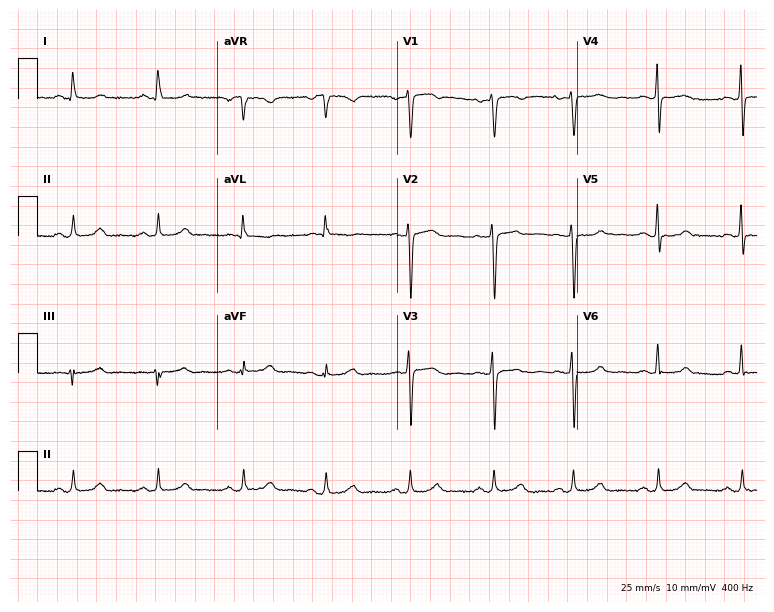
12-lead ECG from a 43-year-old woman (7.3-second recording at 400 Hz). No first-degree AV block, right bundle branch block, left bundle branch block, sinus bradycardia, atrial fibrillation or sinus tachycardia recorded for this tracing. Findings outside these six are not listed.